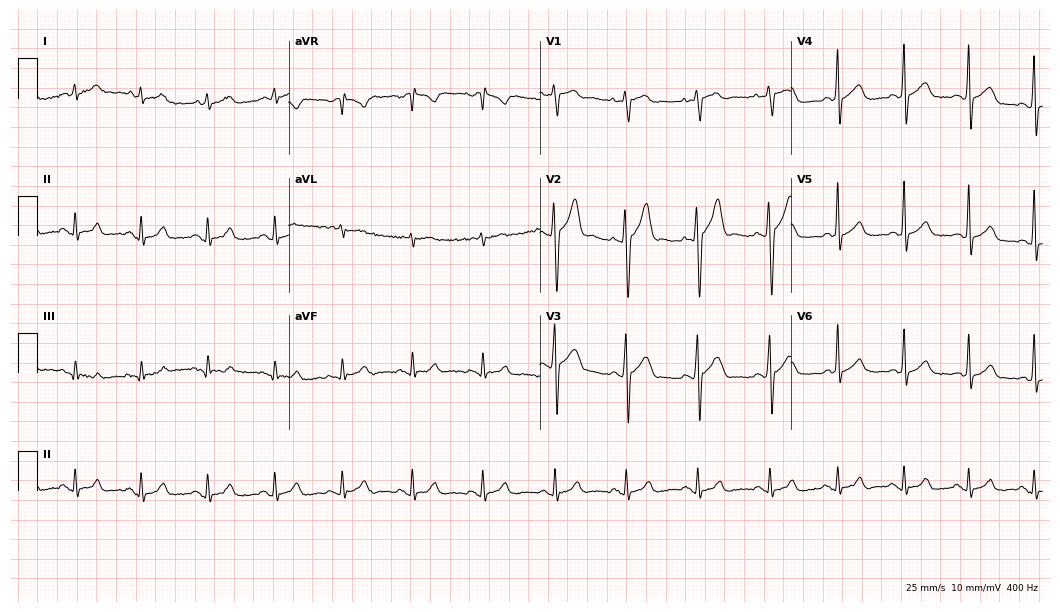
12-lead ECG from a man, 23 years old. Recorded interpretation: within normal limits.